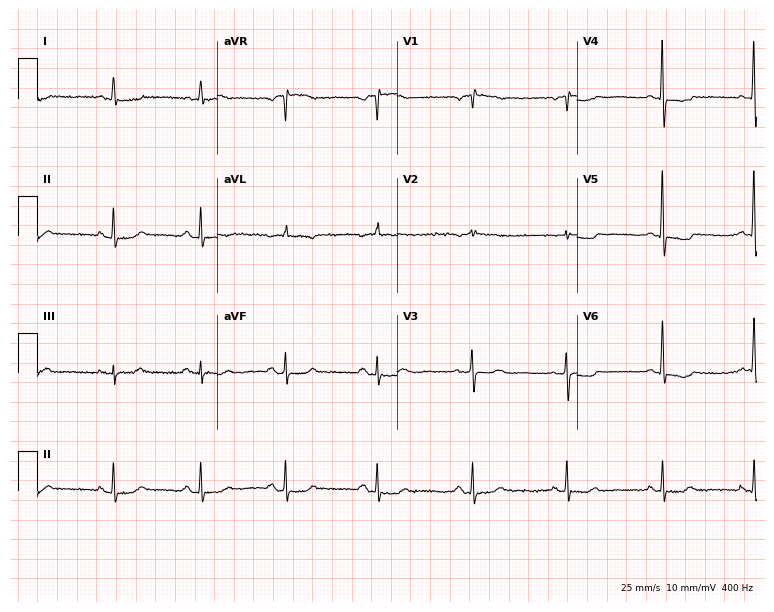
Resting 12-lead electrocardiogram. Patient: an 80-year-old female. None of these six findings is recorded: first-degree AV block, right bundle branch block, left bundle branch block, sinus bradycardia, atrial fibrillation, sinus tachycardia.